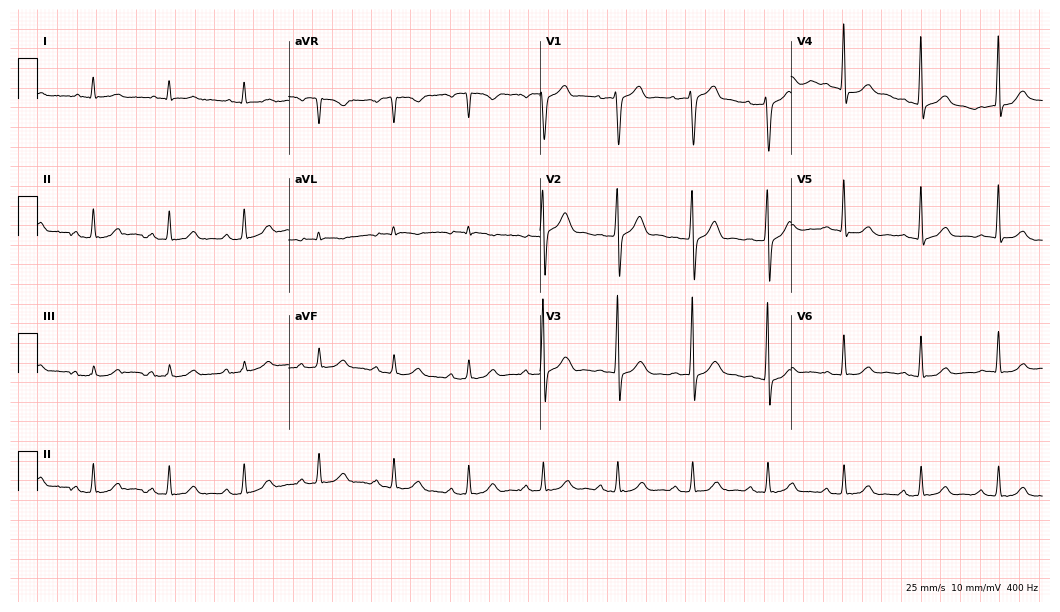
12-lead ECG from a man, 56 years old. Labelled as a normal ECG.